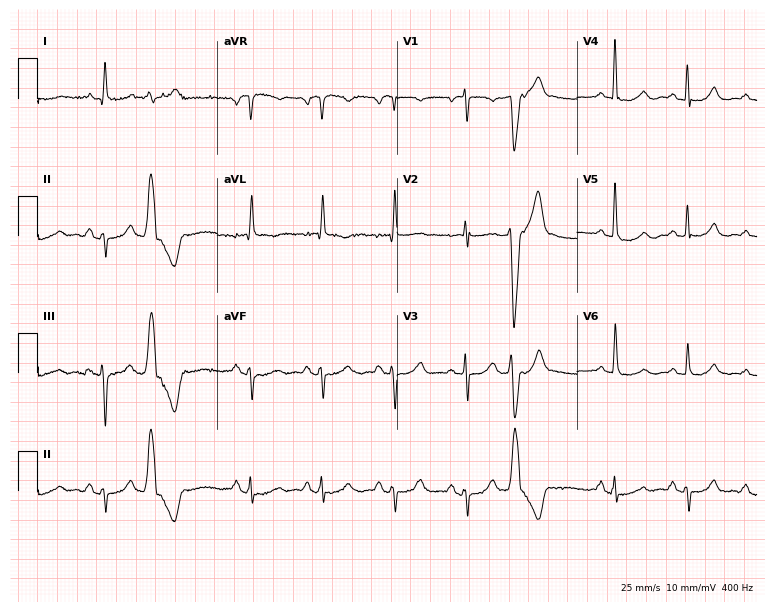
Resting 12-lead electrocardiogram (7.3-second recording at 400 Hz). Patient: a woman, 77 years old. None of these six findings is recorded: first-degree AV block, right bundle branch block (RBBB), left bundle branch block (LBBB), sinus bradycardia, atrial fibrillation (AF), sinus tachycardia.